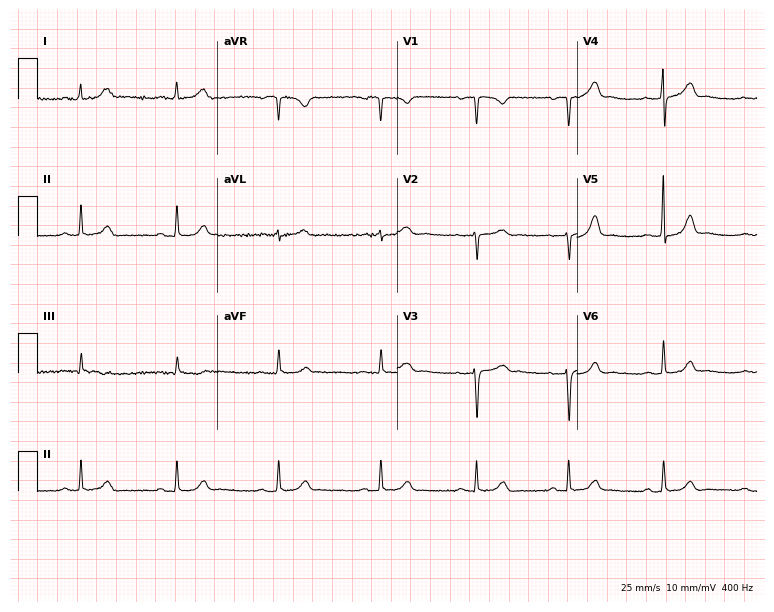
ECG (7.3-second recording at 400 Hz) — a woman, 44 years old. Labelled as a normal ECG.